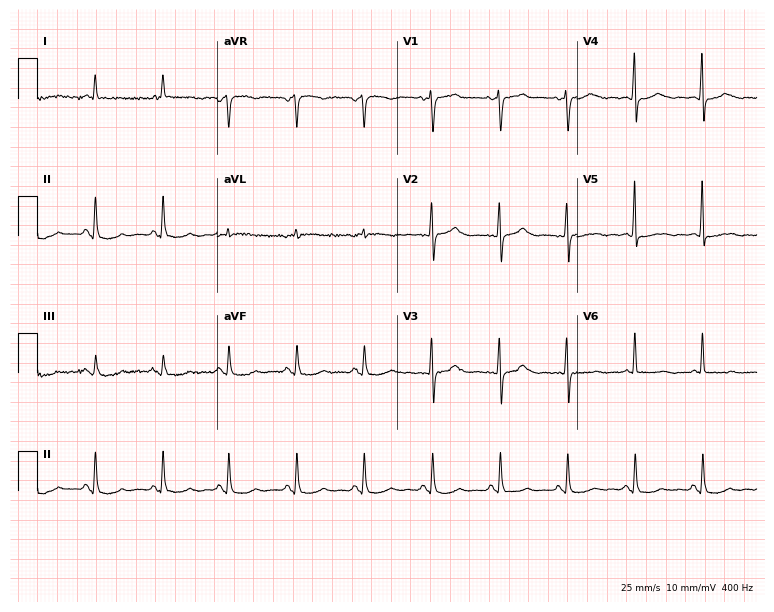
Electrocardiogram, a female patient, 67 years old. Of the six screened findings (first-degree AV block, right bundle branch block (RBBB), left bundle branch block (LBBB), sinus bradycardia, atrial fibrillation (AF), sinus tachycardia), none is recorded.